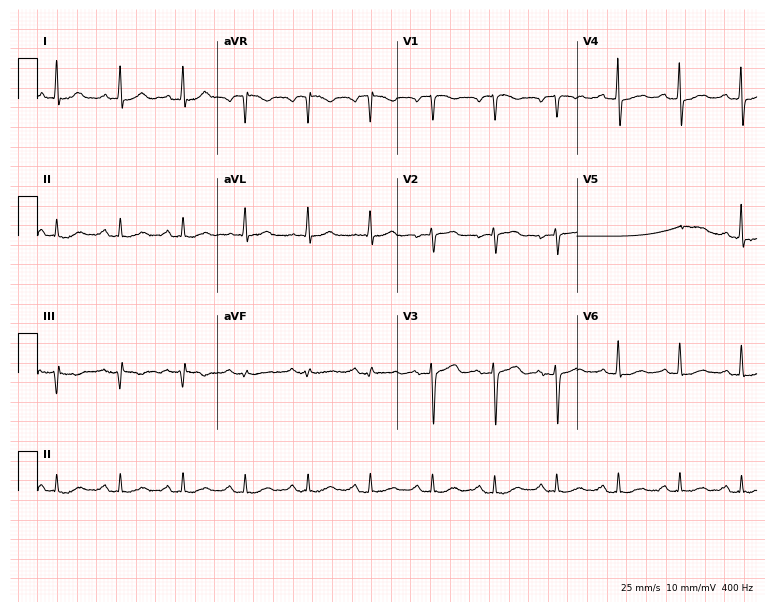
Resting 12-lead electrocardiogram. Patient: a male, 69 years old. Read as a normal ECG.